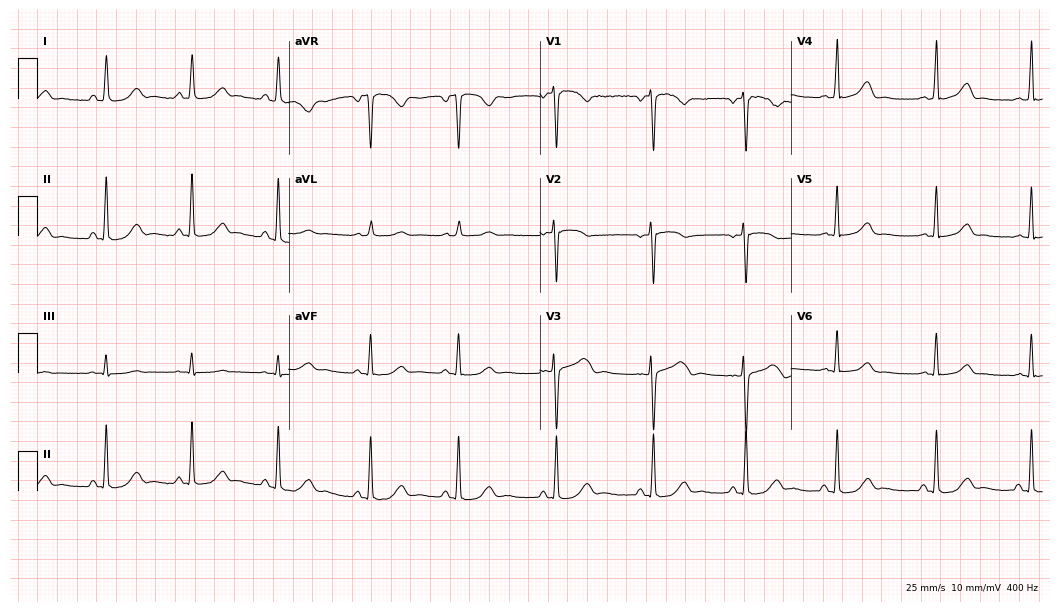
Standard 12-lead ECG recorded from a woman, 24 years old. Read as a normal ECG.